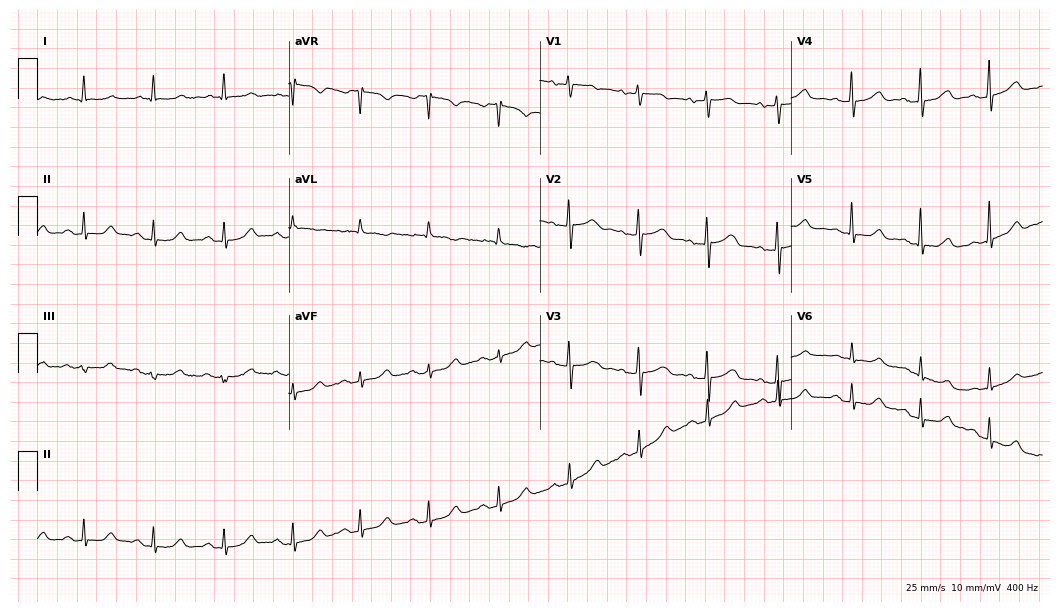
Electrocardiogram (10.2-second recording at 400 Hz), a woman, 81 years old. Of the six screened findings (first-degree AV block, right bundle branch block, left bundle branch block, sinus bradycardia, atrial fibrillation, sinus tachycardia), none is recorded. Findings outside these six are not listed.